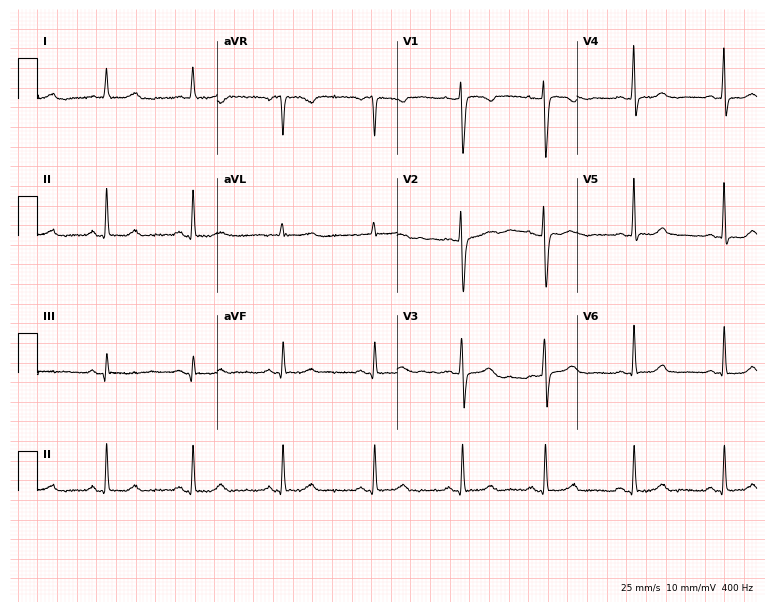
12-lead ECG from a 35-year-old woman. Screened for six findings — first-degree AV block, right bundle branch block, left bundle branch block, sinus bradycardia, atrial fibrillation, sinus tachycardia — none is recorded.